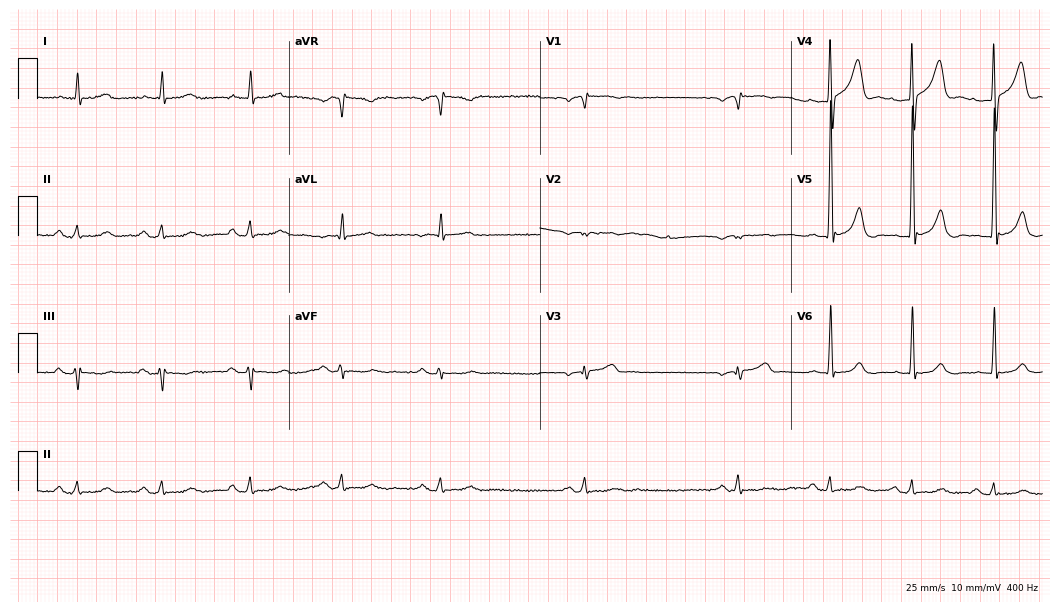
Electrocardiogram (10.2-second recording at 400 Hz), a 76-year-old male. Of the six screened findings (first-degree AV block, right bundle branch block (RBBB), left bundle branch block (LBBB), sinus bradycardia, atrial fibrillation (AF), sinus tachycardia), none is recorded. Only these six findings were labelled.